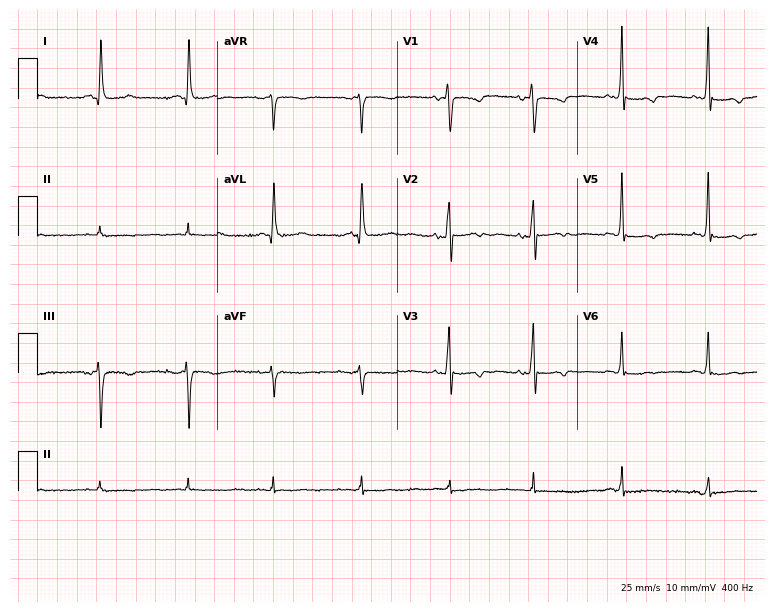
12-lead ECG (7.3-second recording at 400 Hz) from a woman, 78 years old. Screened for six findings — first-degree AV block, right bundle branch block, left bundle branch block, sinus bradycardia, atrial fibrillation, sinus tachycardia — none is recorded.